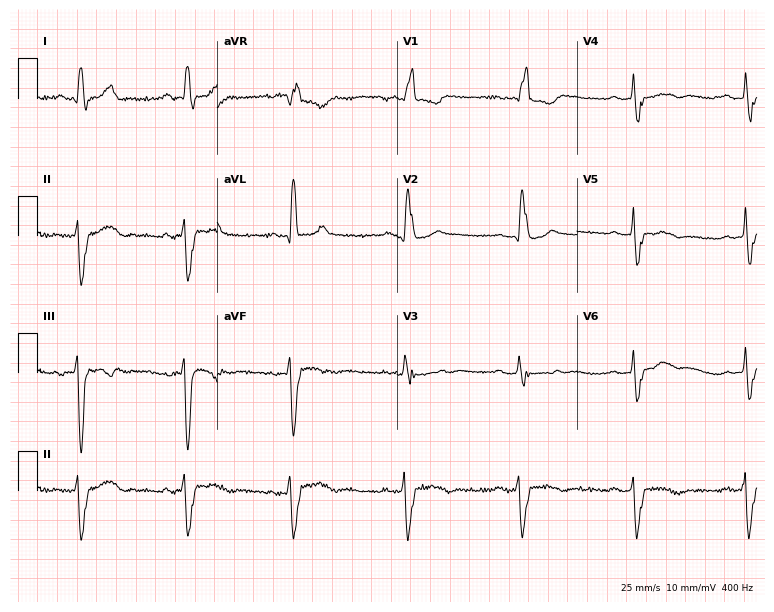
12-lead ECG from a 71-year-old female patient. Shows right bundle branch block (RBBB).